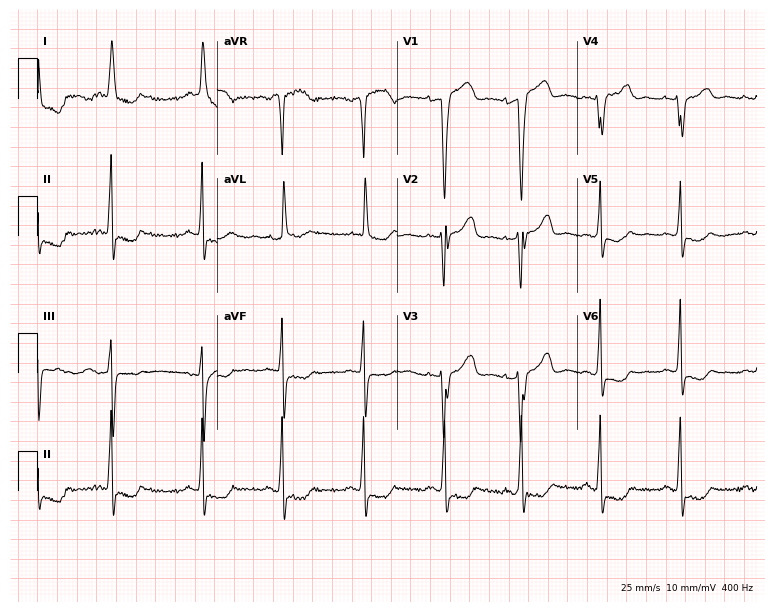
Resting 12-lead electrocardiogram (7.3-second recording at 400 Hz). Patient: a 67-year-old female. None of these six findings is recorded: first-degree AV block, right bundle branch block, left bundle branch block, sinus bradycardia, atrial fibrillation, sinus tachycardia.